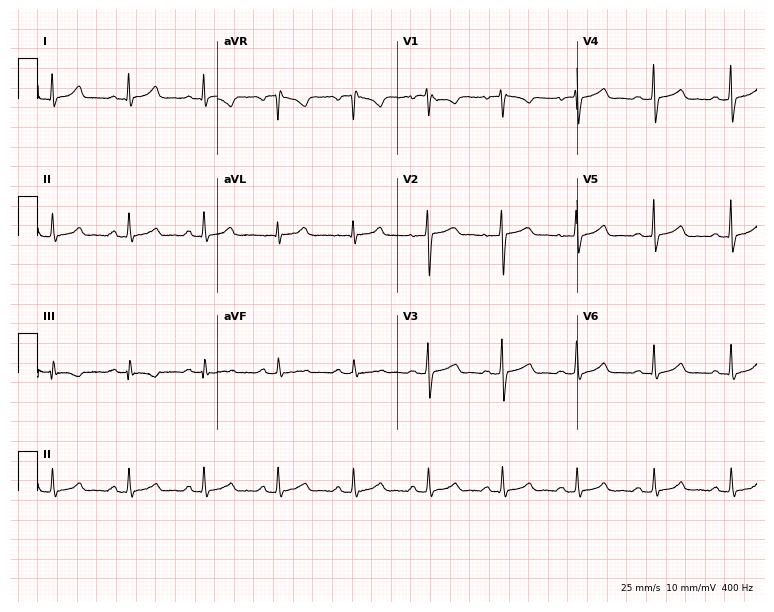
12-lead ECG from a 45-year-old female (7.3-second recording at 400 Hz). Recorded interpretation: within normal limits.